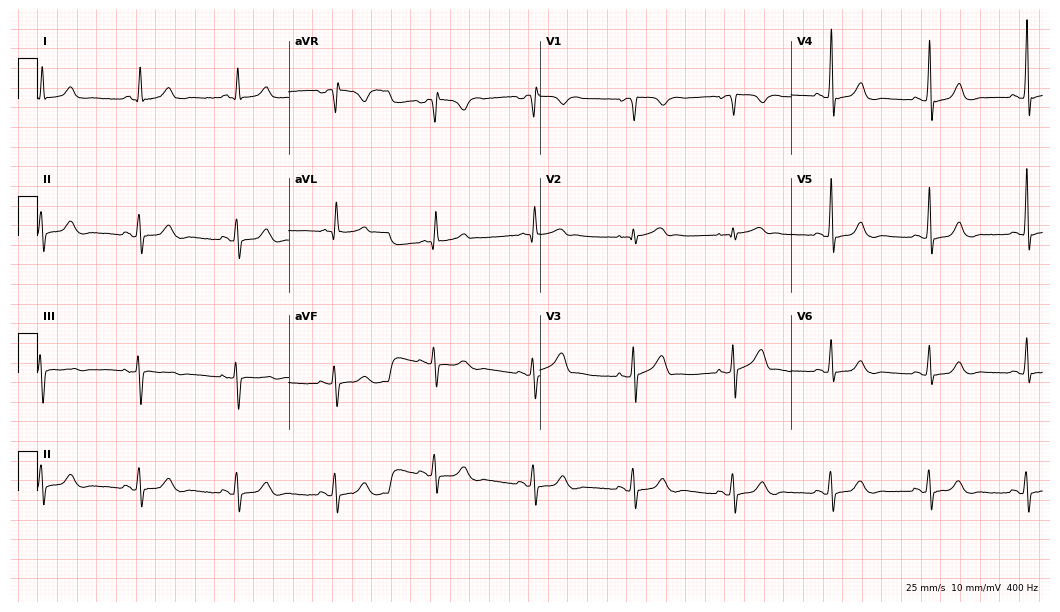
12-lead ECG from a 75-year-old male. Recorded interpretation: within normal limits.